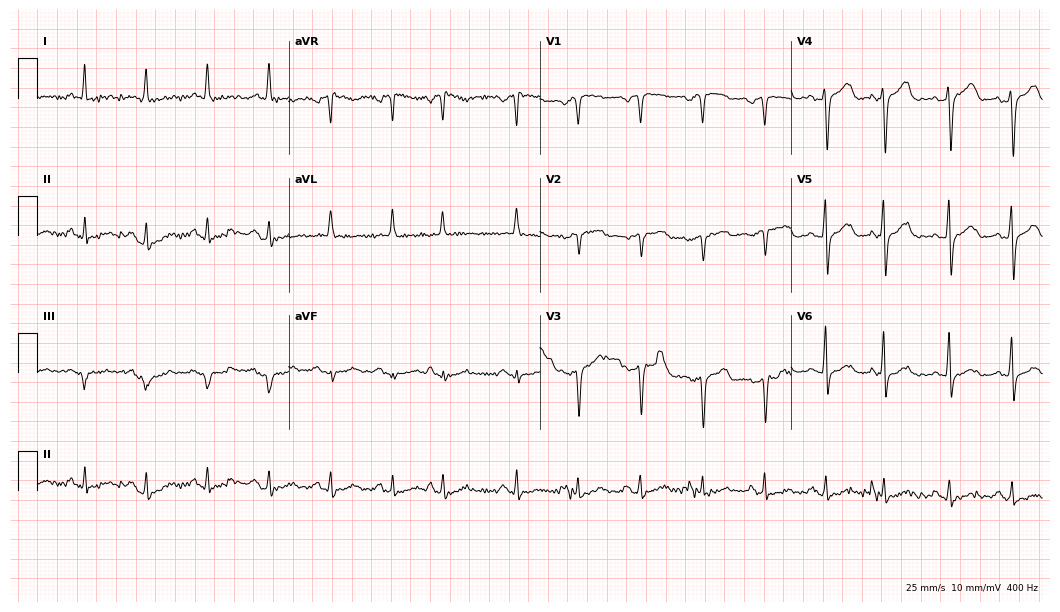
Standard 12-lead ECG recorded from a 66-year-old male patient (10.2-second recording at 400 Hz). None of these six findings is recorded: first-degree AV block, right bundle branch block (RBBB), left bundle branch block (LBBB), sinus bradycardia, atrial fibrillation (AF), sinus tachycardia.